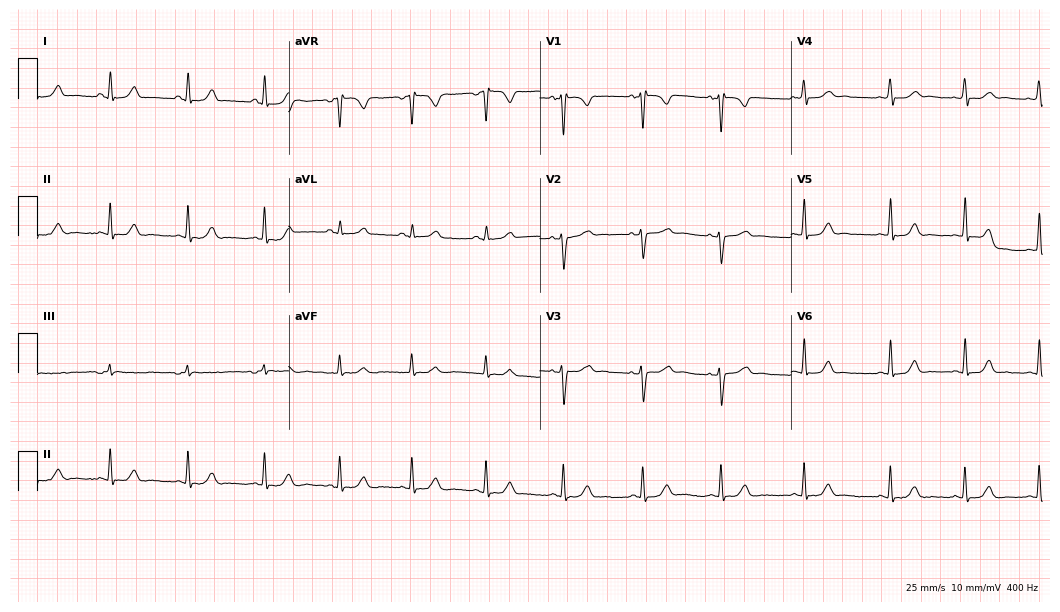
Standard 12-lead ECG recorded from a female, 27 years old. Read as a normal ECG.